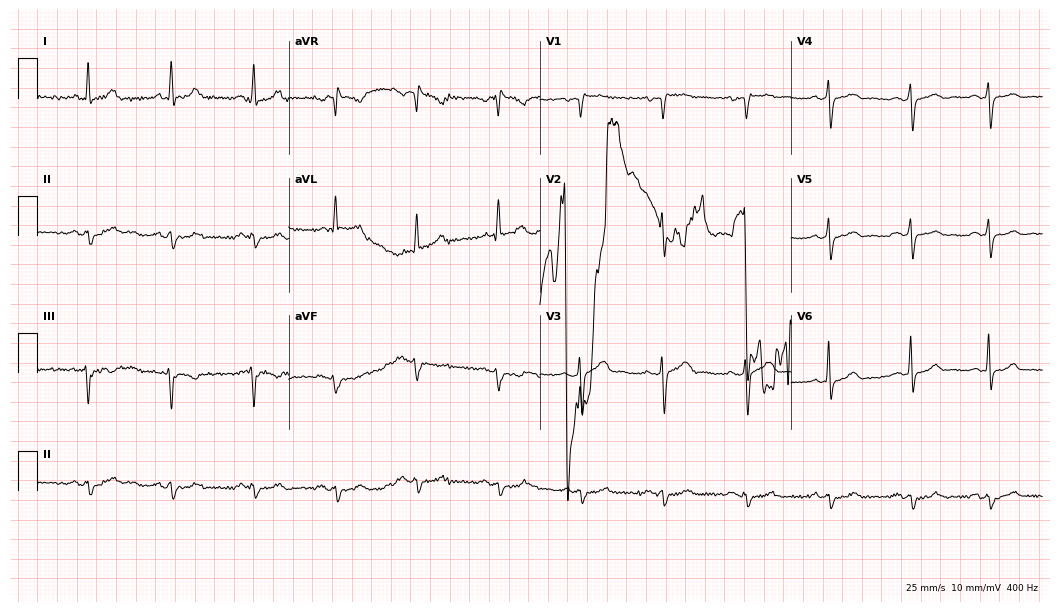
12-lead ECG from a 52-year-old male patient (10.2-second recording at 400 Hz). No first-degree AV block, right bundle branch block, left bundle branch block, sinus bradycardia, atrial fibrillation or sinus tachycardia recorded for this tracing. Other findings, if any, are not listed.